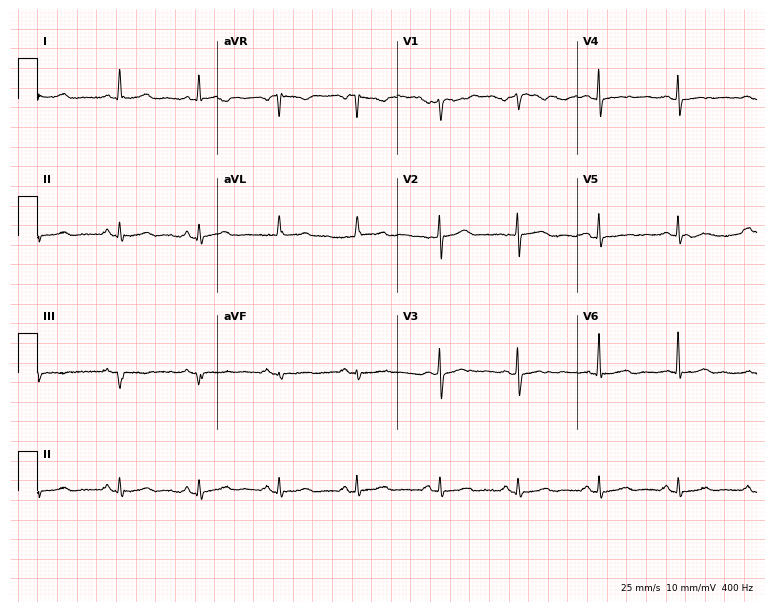
ECG (7.3-second recording at 400 Hz) — a female patient, 45 years old. Screened for six findings — first-degree AV block, right bundle branch block (RBBB), left bundle branch block (LBBB), sinus bradycardia, atrial fibrillation (AF), sinus tachycardia — none is recorded. Other findings, if any, are not listed.